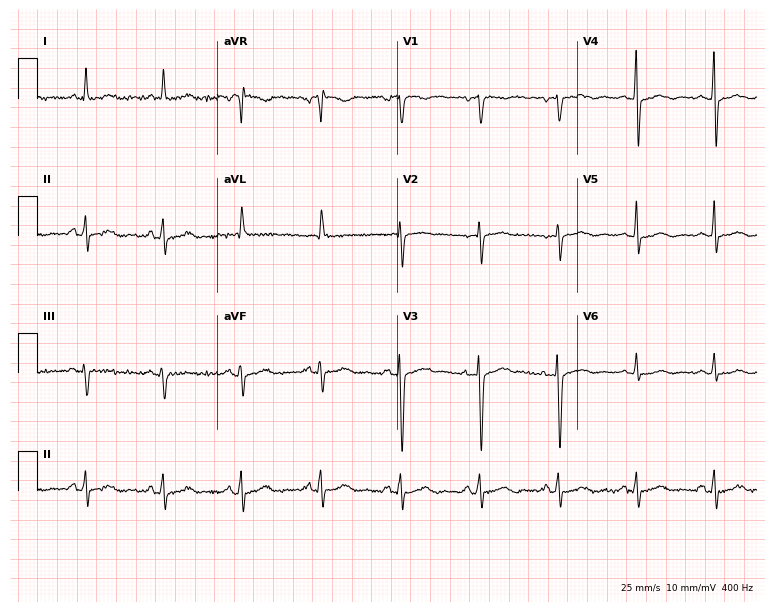
12-lead ECG from a female patient, 52 years old. Labelled as a normal ECG.